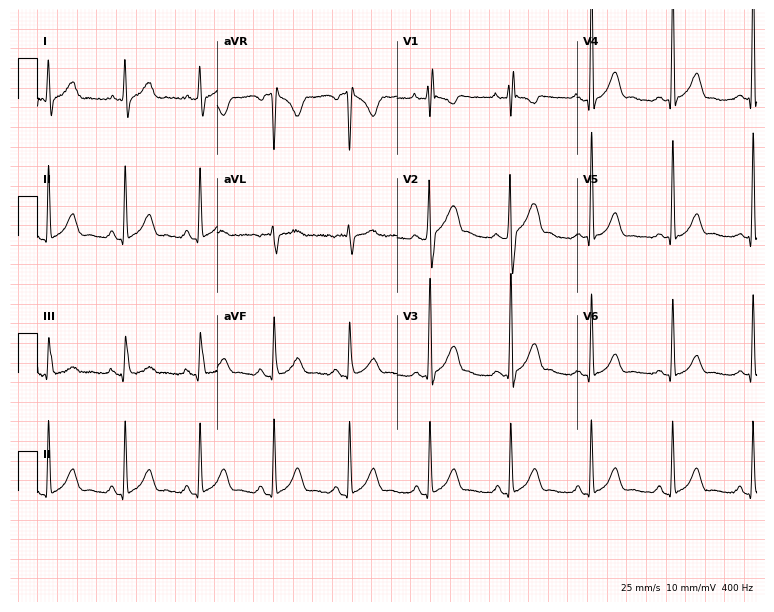
12-lead ECG (7.3-second recording at 400 Hz) from a 32-year-old man. Screened for six findings — first-degree AV block, right bundle branch block, left bundle branch block, sinus bradycardia, atrial fibrillation, sinus tachycardia — none is recorded.